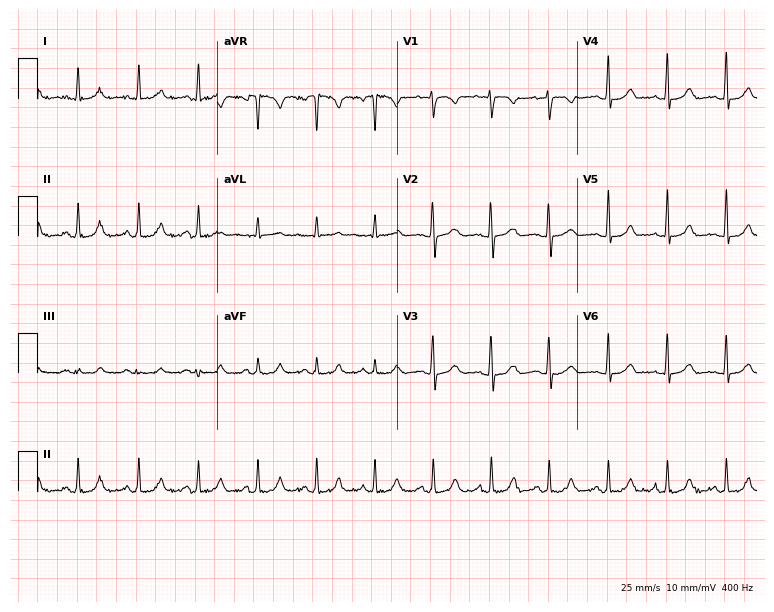
Standard 12-lead ECG recorded from a female, 30 years old. None of these six findings is recorded: first-degree AV block, right bundle branch block, left bundle branch block, sinus bradycardia, atrial fibrillation, sinus tachycardia.